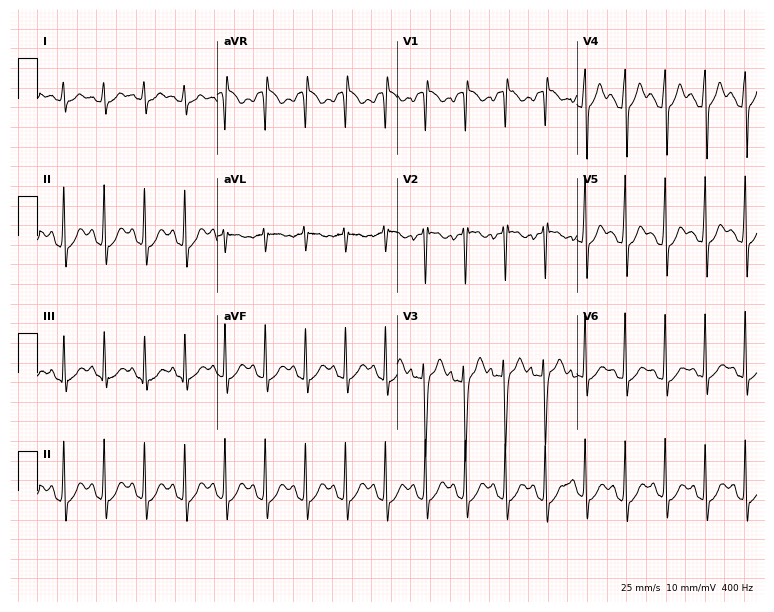
Resting 12-lead electrocardiogram. Patient: a man, 20 years old. The tracing shows sinus tachycardia (a sinus rate of 100 beats per minute or more).